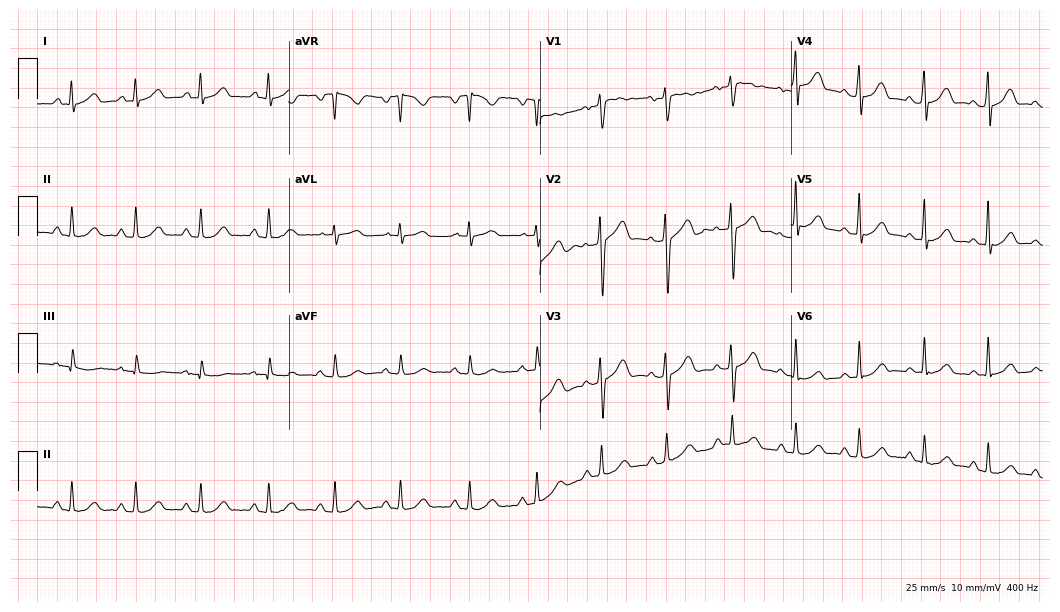
Standard 12-lead ECG recorded from a female, 28 years old (10.2-second recording at 400 Hz). Read as a normal ECG.